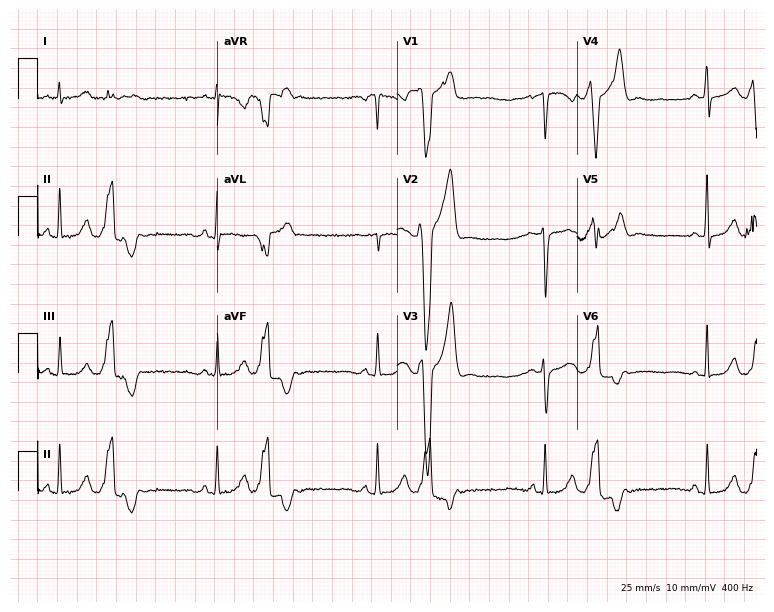
Standard 12-lead ECG recorded from a 30-year-old woman (7.3-second recording at 400 Hz). None of these six findings is recorded: first-degree AV block, right bundle branch block (RBBB), left bundle branch block (LBBB), sinus bradycardia, atrial fibrillation (AF), sinus tachycardia.